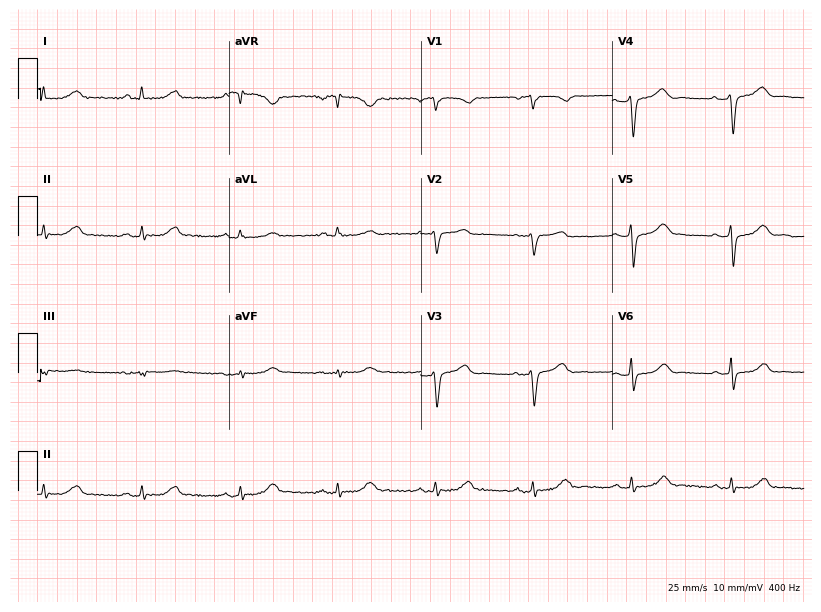
ECG — a woman, 62 years old. Labelled as a normal ECG.